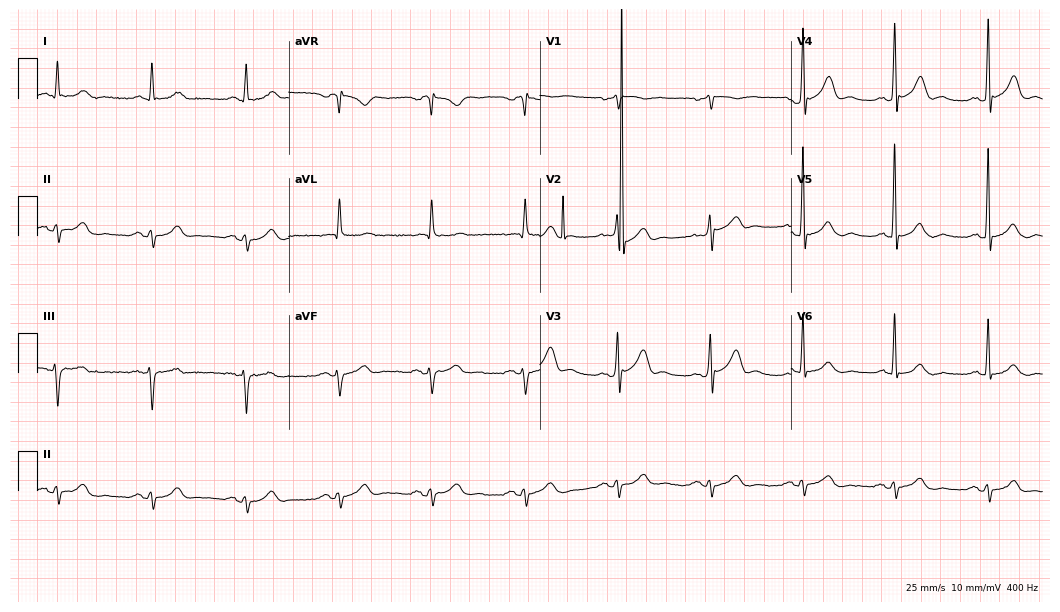
Electrocardiogram, a man, 62 years old. Of the six screened findings (first-degree AV block, right bundle branch block, left bundle branch block, sinus bradycardia, atrial fibrillation, sinus tachycardia), none is recorded.